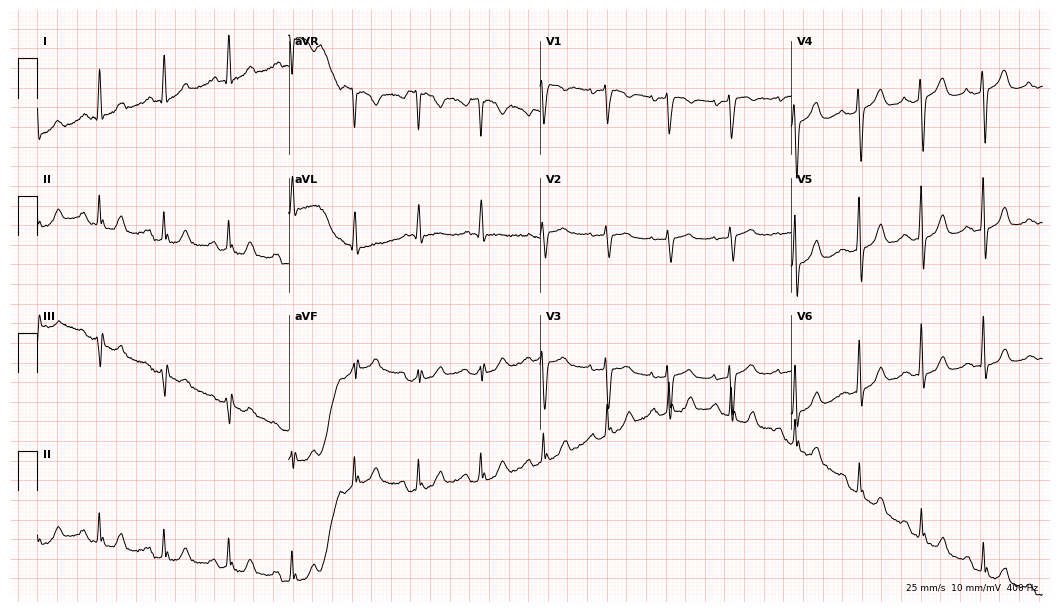
Resting 12-lead electrocardiogram (10.2-second recording at 400 Hz). Patient: a 68-year-old woman. None of these six findings is recorded: first-degree AV block, right bundle branch block, left bundle branch block, sinus bradycardia, atrial fibrillation, sinus tachycardia. Other findings, if any, are not listed.